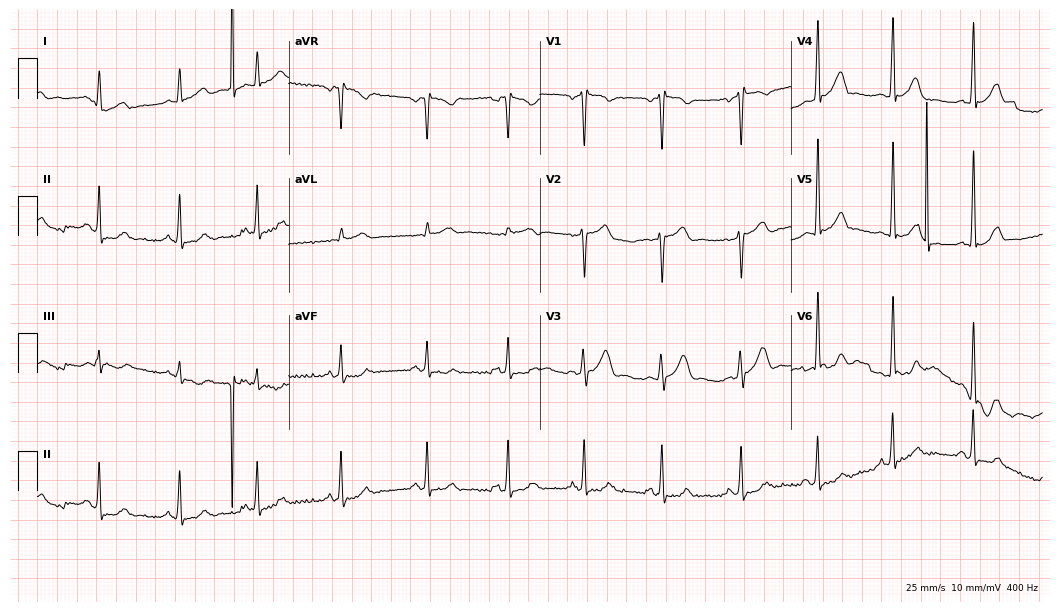
ECG — a man, 31 years old. Labelled as a normal ECG.